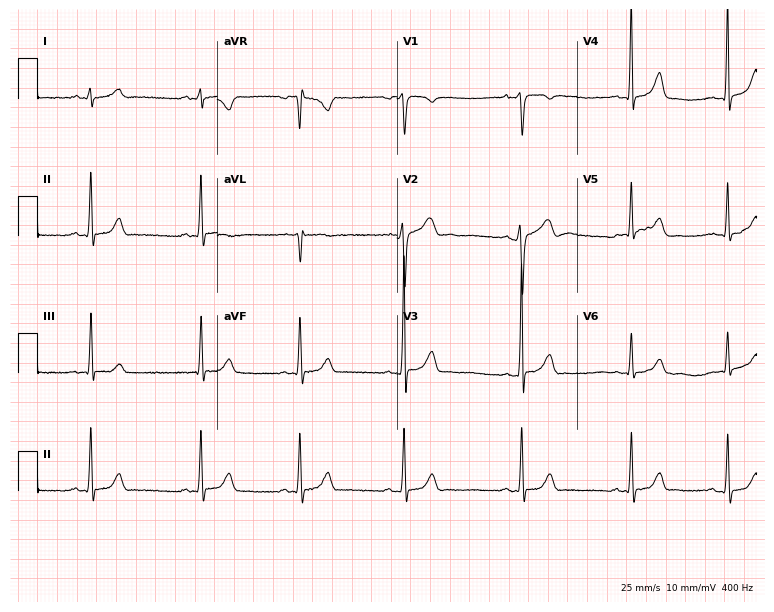
12-lead ECG (7.3-second recording at 400 Hz) from a 17-year-old male patient. Labelled as a normal ECG.